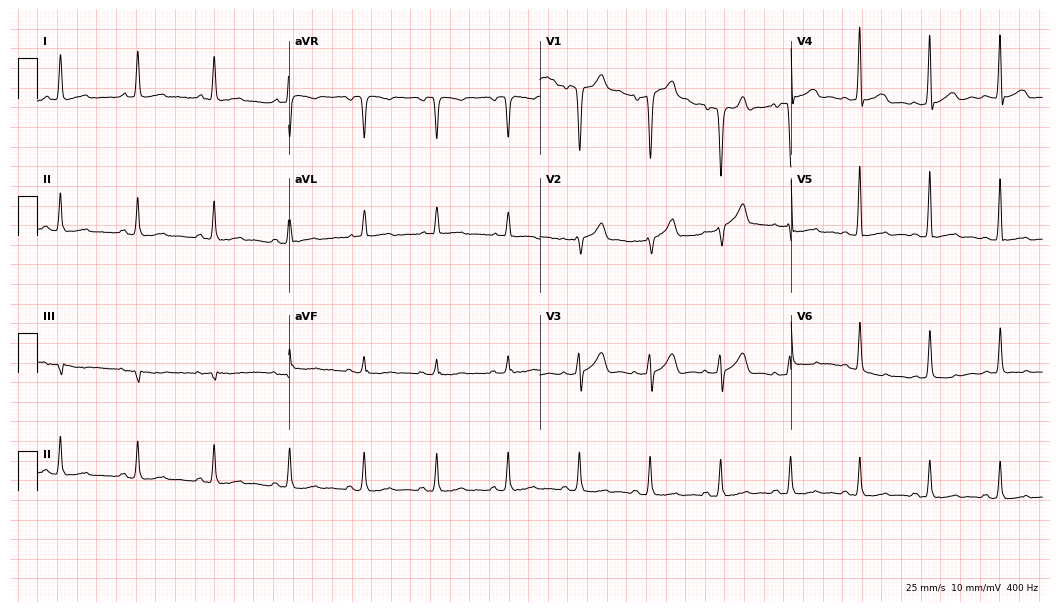
12-lead ECG from a female, 49 years old (10.2-second recording at 400 Hz). No first-degree AV block, right bundle branch block, left bundle branch block, sinus bradycardia, atrial fibrillation or sinus tachycardia recorded for this tracing.